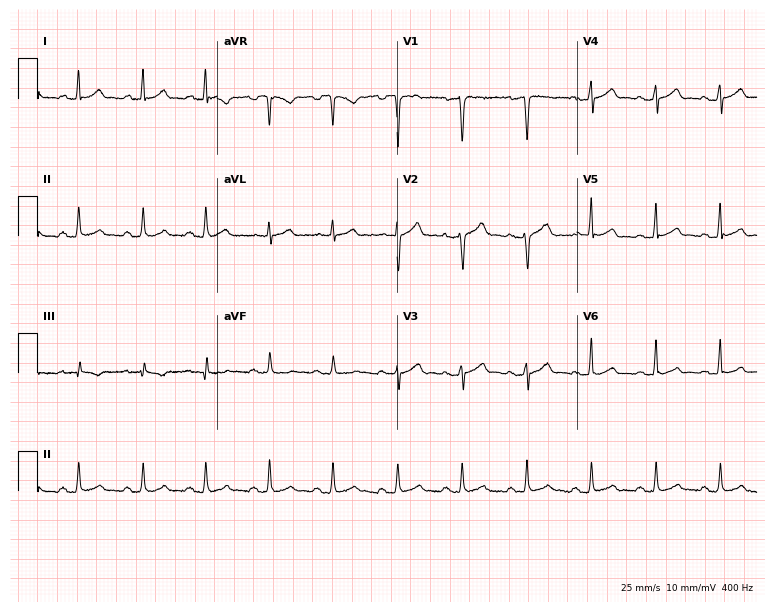
Standard 12-lead ECG recorded from a 37-year-old male. Read as a normal ECG.